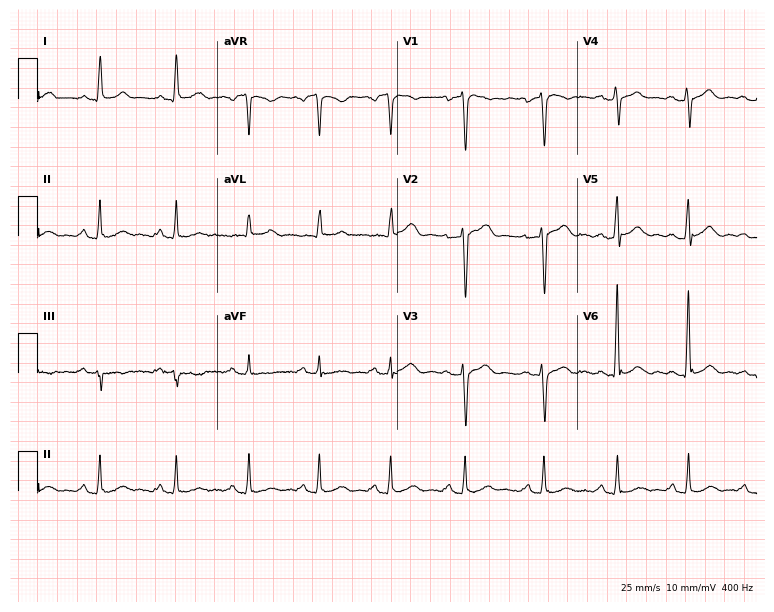
12-lead ECG from a 46-year-old male. Labelled as a normal ECG.